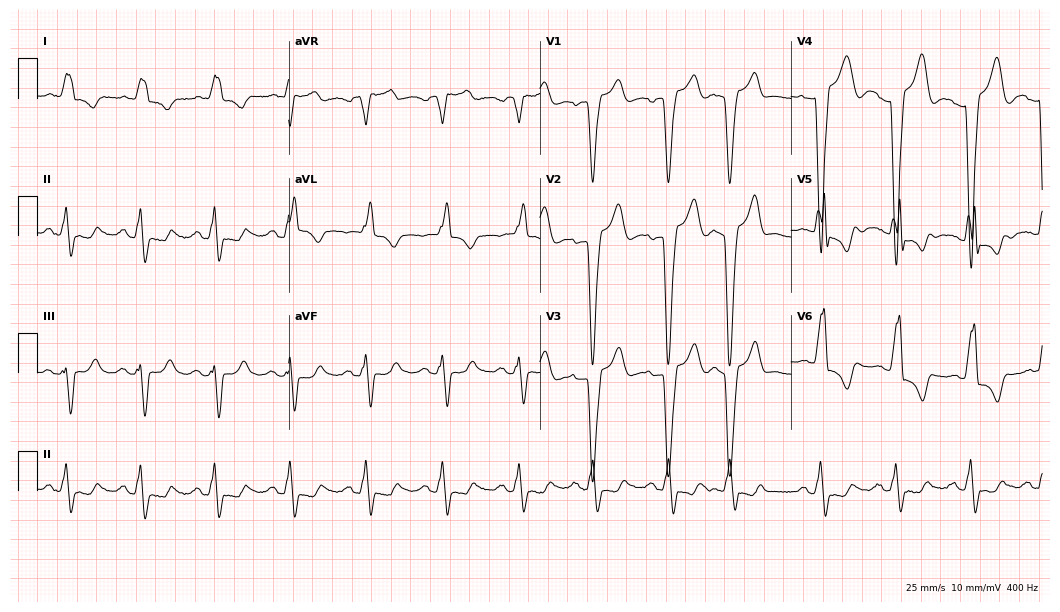
Resting 12-lead electrocardiogram. Patient: a woman, 81 years old. The tracing shows left bundle branch block.